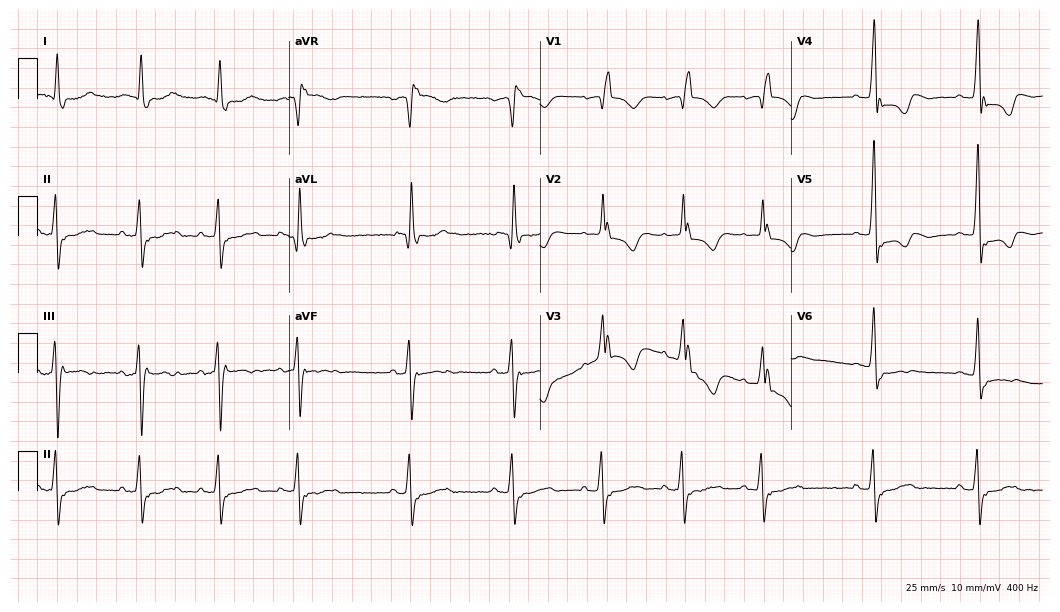
ECG (10.2-second recording at 400 Hz) — an 84-year-old female patient. Findings include right bundle branch block.